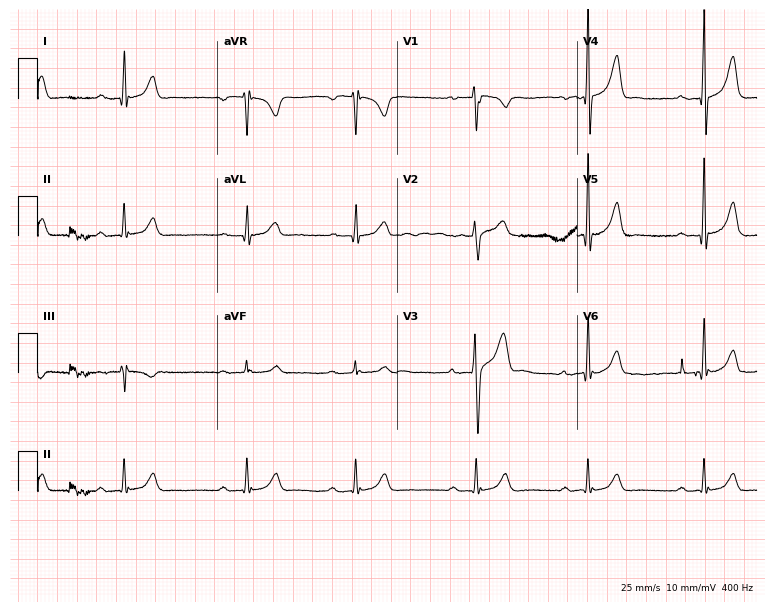
Standard 12-lead ECG recorded from a male, 46 years old. The tracing shows first-degree AV block.